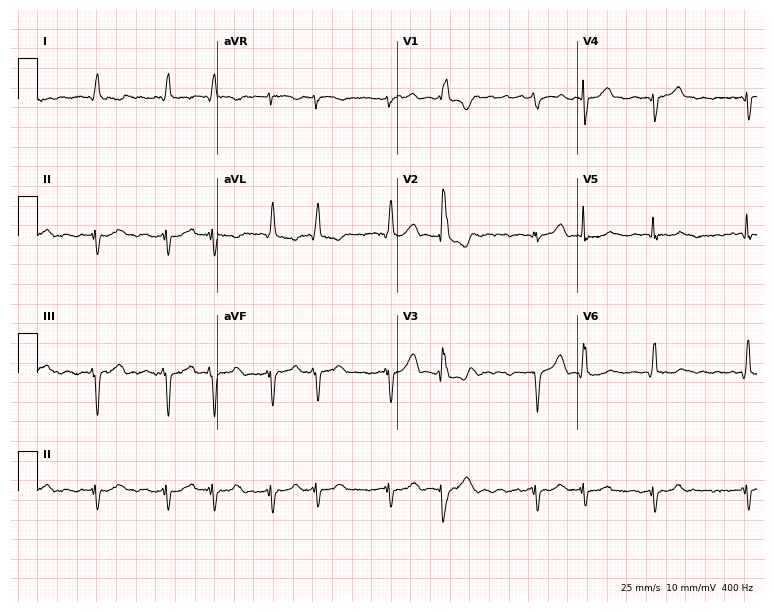
Resting 12-lead electrocardiogram. Patient: a male, 84 years old. The tracing shows atrial fibrillation.